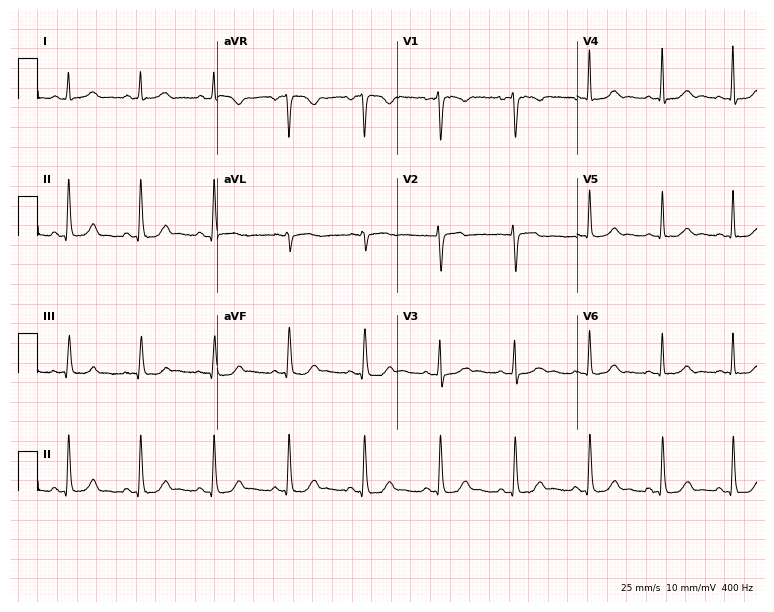
ECG (7.3-second recording at 400 Hz) — a 48-year-old female. Labelled as a normal ECG.